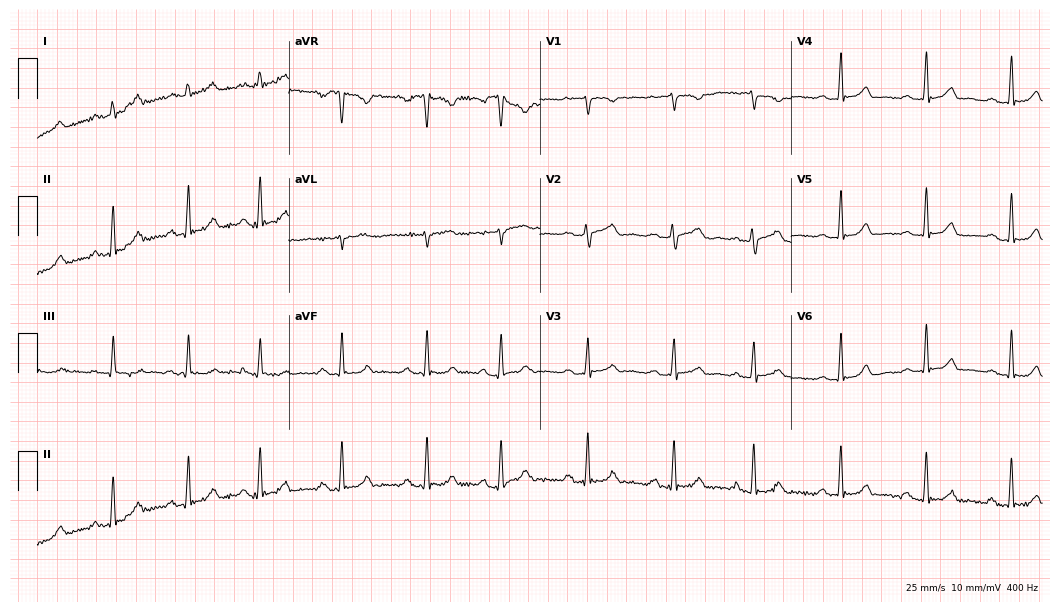
Standard 12-lead ECG recorded from a 19-year-old female patient (10.2-second recording at 400 Hz). The tracing shows first-degree AV block.